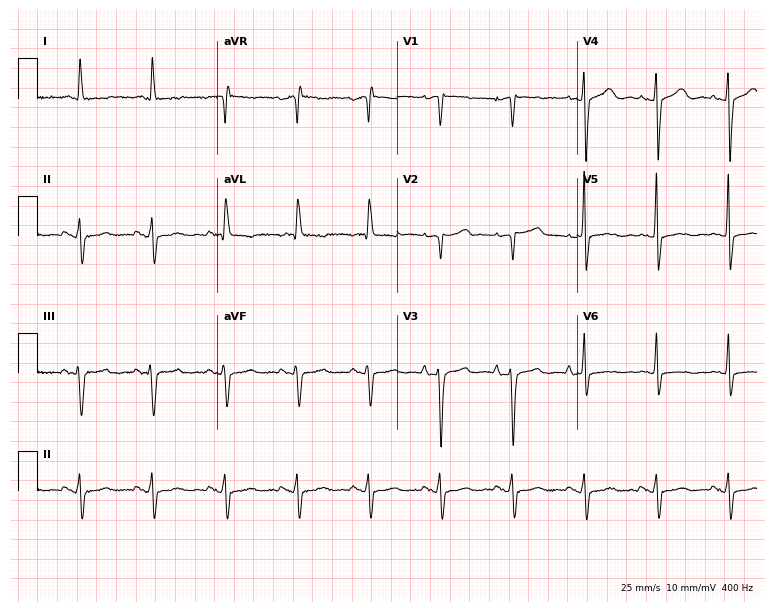
Standard 12-lead ECG recorded from an 80-year-old female (7.3-second recording at 400 Hz). None of these six findings is recorded: first-degree AV block, right bundle branch block, left bundle branch block, sinus bradycardia, atrial fibrillation, sinus tachycardia. Only these six findings were labelled.